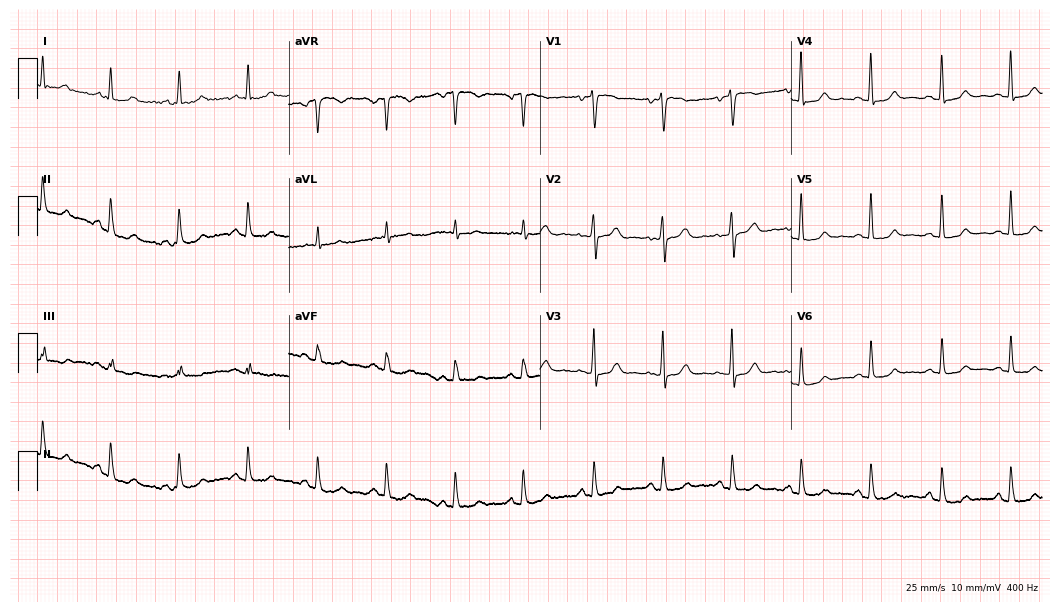
Standard 12-lead ECG recorded from a 72-year-old woman. Read as a normal ECG.